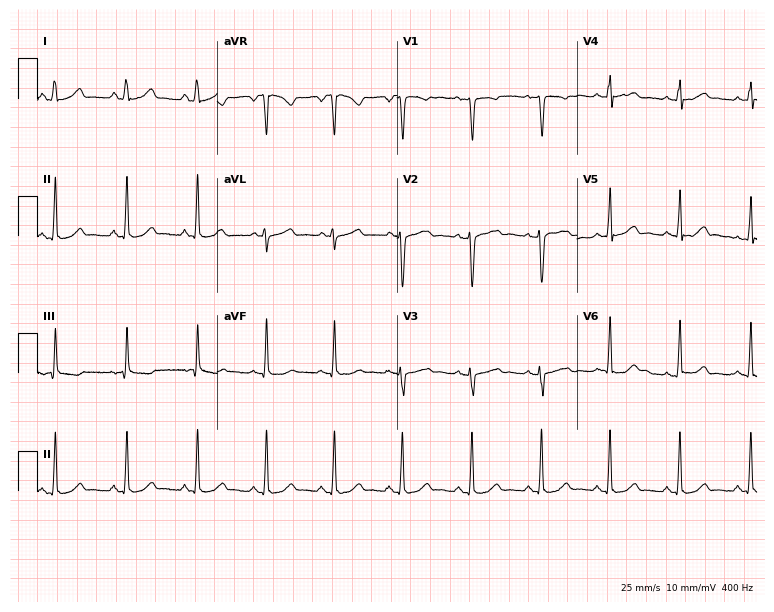
ECG — a female, 25 years old. Labelled as a normal ECG.